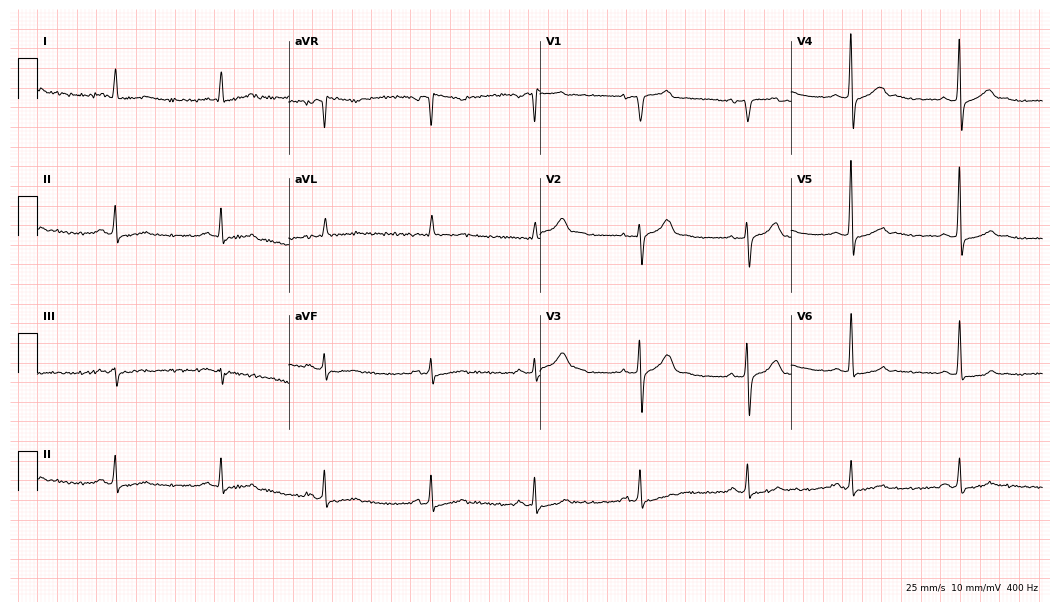
ECG — a 65-year-old male patient. Screened for six findings — first-degree AV block, right bundle branch block, left bundle branch block, sinus bradycardia, atrial fibrillation, sinus tachycardia — none is recorded. Findings outside these six are not listed.